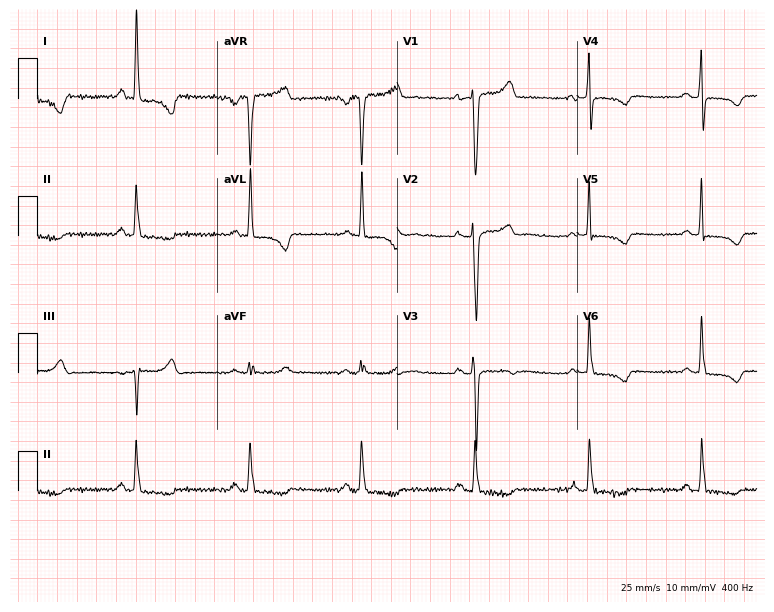
Electrocardiogram, a female, 36 years old. Of the six screened findings (first-degree AV block, right bundle branch block, left bundle branch block, sinus bradycardia, atrial fibrillation, sinus tachycardia), none is recorded.